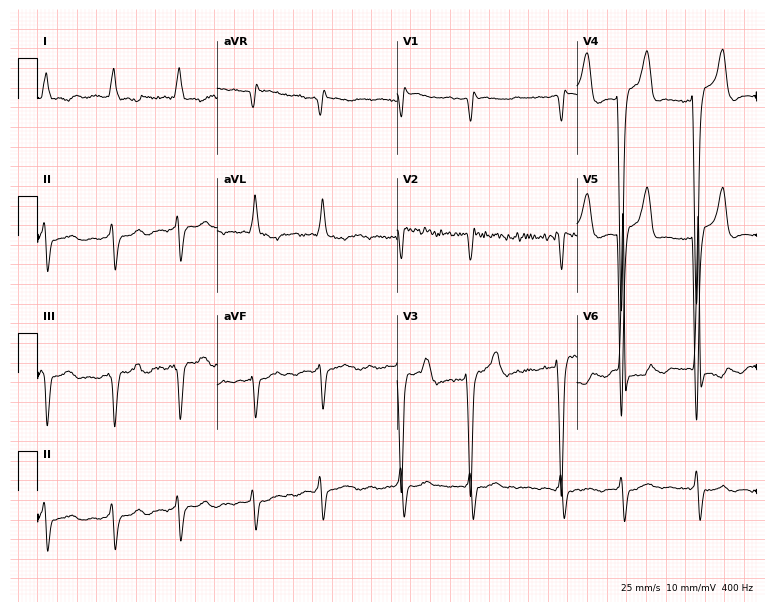
Standard 12-lead ECG recorded from a 72-year-old man (7.3-second recording at 400 Hz). The tracing shows right bundle branch block, atrial fibrillation.